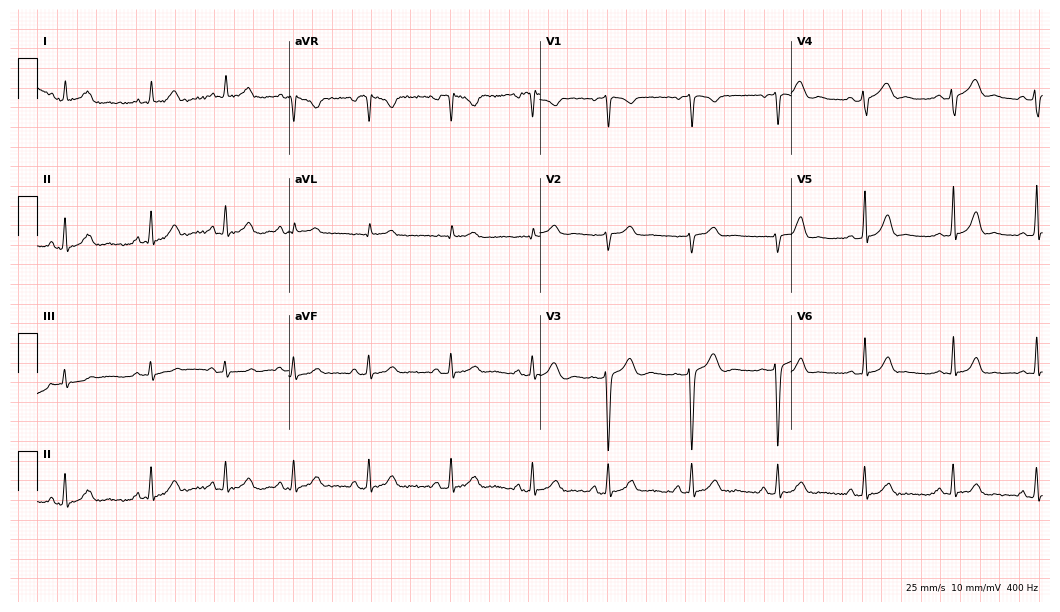
Resting 12-lead electrocardiogram (10.2-second recording at 400 Hz). Patient: a female, 24 years old. Read as a normal ECG.